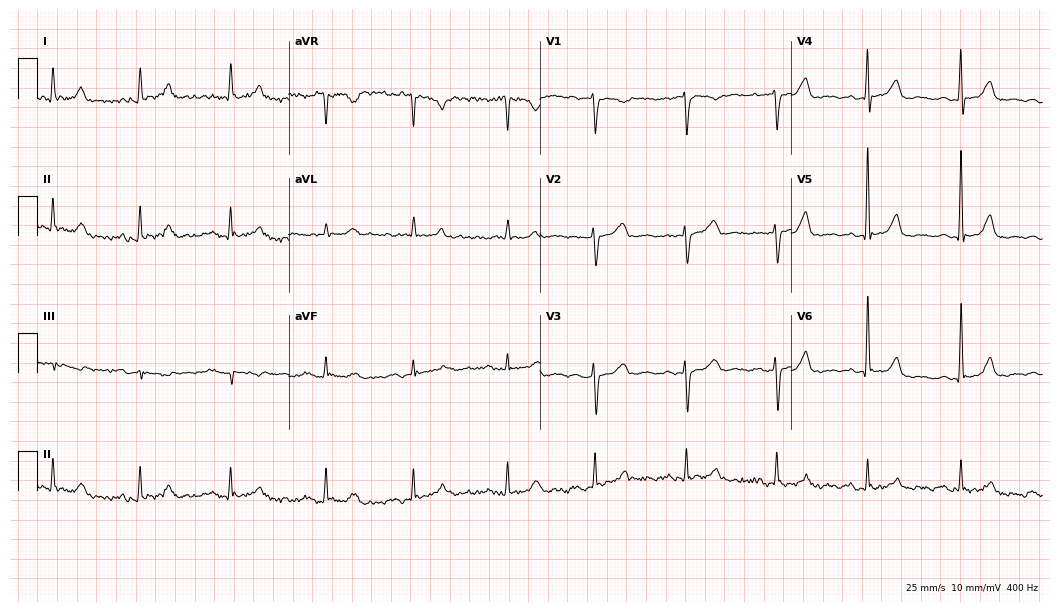
Electrocardiogram (10.2-second recording at 400 Hz), a 73-year-old woman. Overall reading on record: normal ECG.